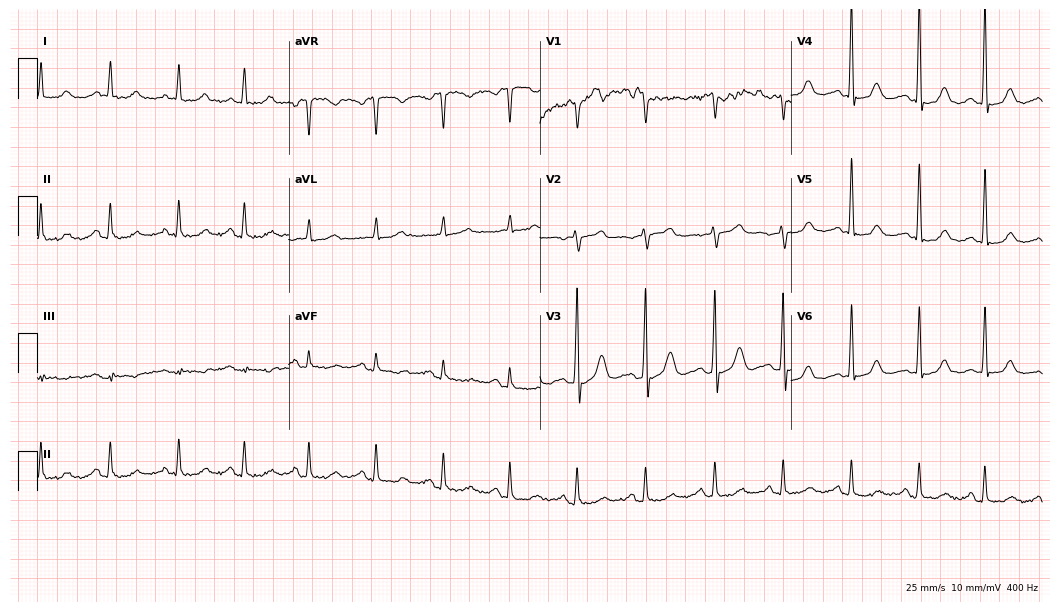
12-lead ECG (10.2-second recording at 400 Hz) from a 75-year-old female patient. Labelled as a normal ECG.